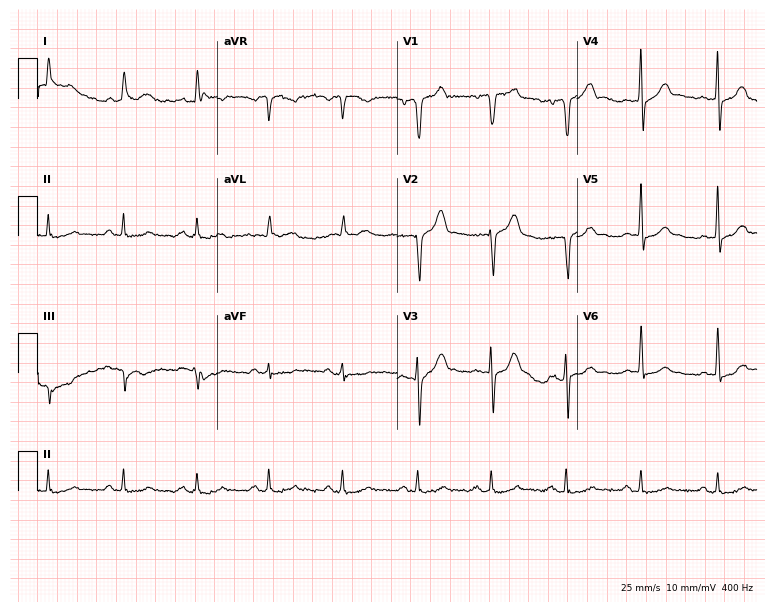
Electrocardiogram (7.3-second recording at 400 Hz), a 49-year-old male. Overall reading on record: normal ECG.